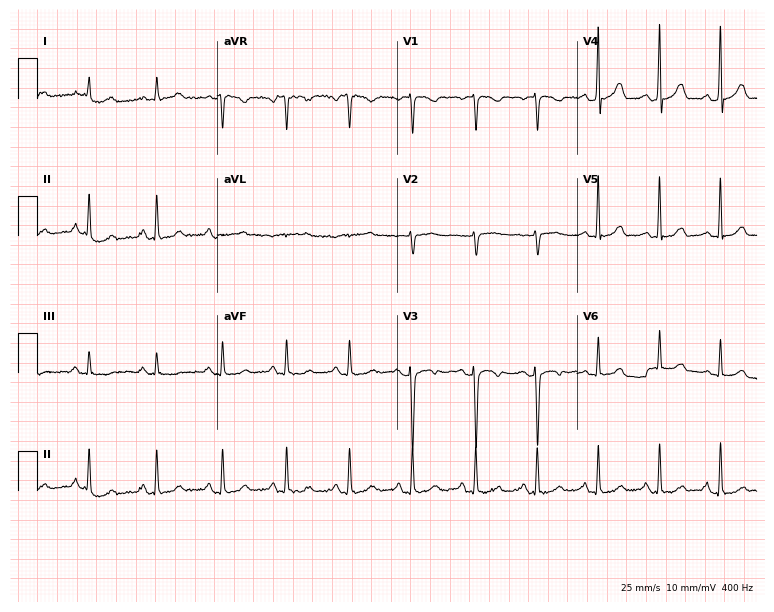
Standard 12-lead ECG recorded from a female patient, 38 years old. None of these six findings is recorded: first-degree AV block, right bundle branch block, left bundle branch block, sinus bradycardia, atrial fibrillation, sinus tachycardia.